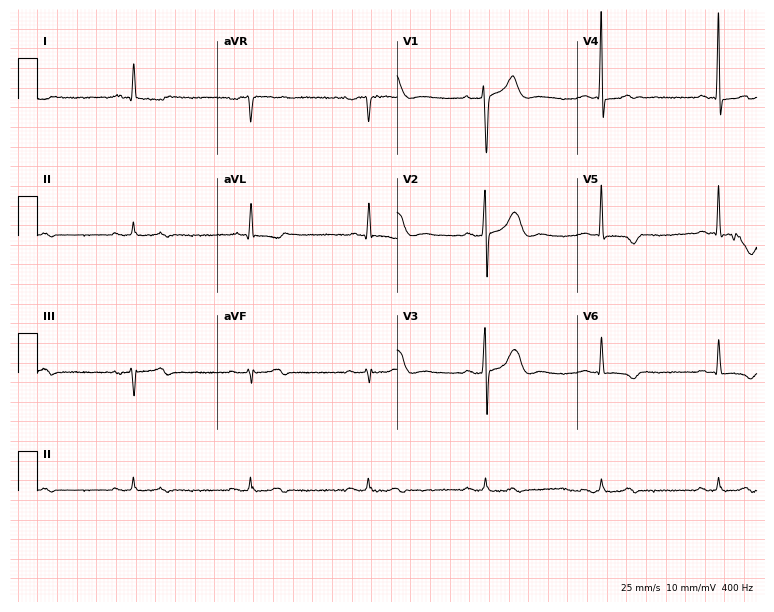
Resting 12-lead electrocardiogram (7.3-second recording at 400 Hz). Patient: a male, 85 years old. None of these six findings is recorded: first-degree AV block, right bundle branch block, left bundle branch block, sinus bradycardia, atrial fibrillation, sinus tachycardia. Only these six findings were labelled.